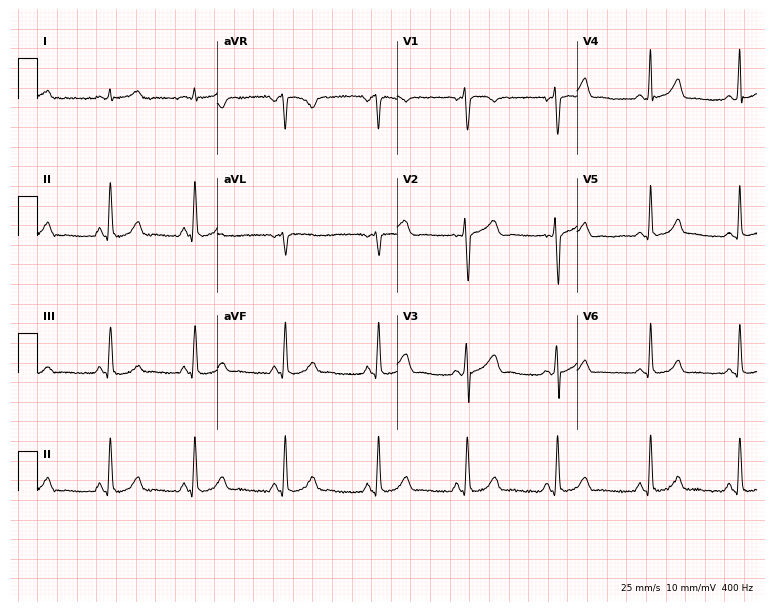
12-lead ECG (7.3-second recording at 400 Hz) from a female patient, 26 years old. Labelled as a normal ECG.